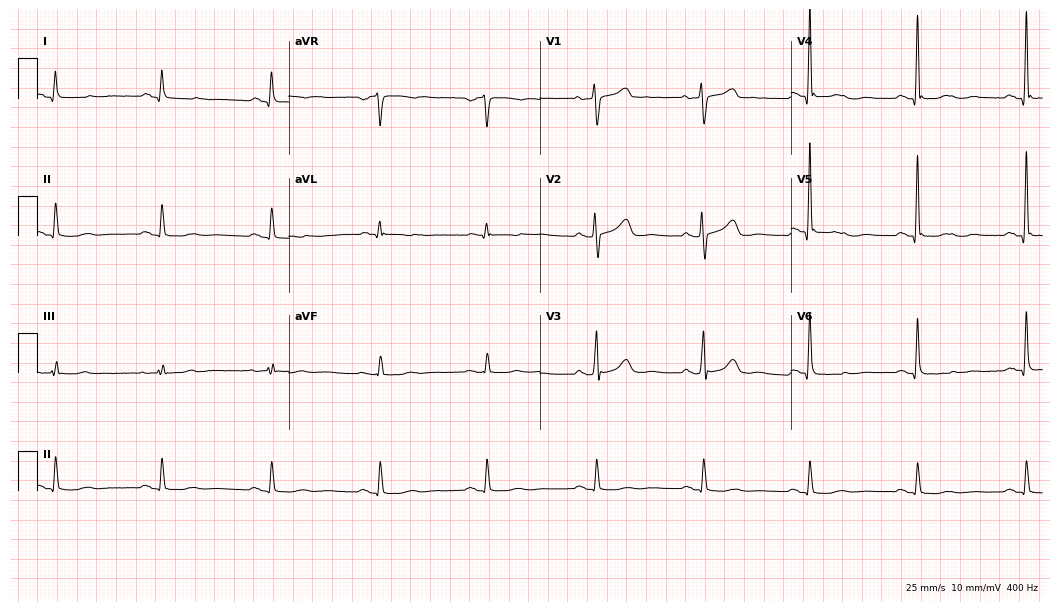
ECG — a 65-year-old male. Labelled as a normal ECG.